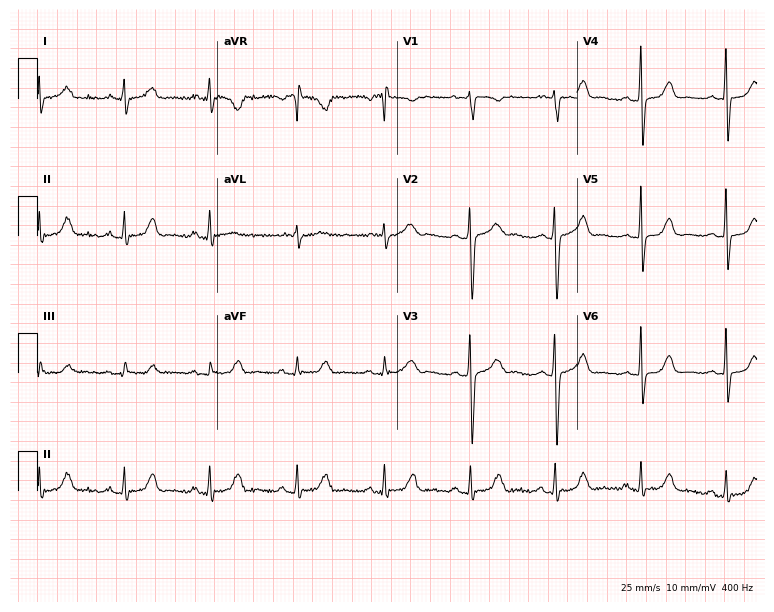
12-lead ECG from a female, 34 years old. Screened for six findings — first-degree AV block, right bundle branch block, left bundle branch block, sinus bradycardia, atrial fibrillation, sinus tachycardia — none is recorded. Findings outside these six are not listed.